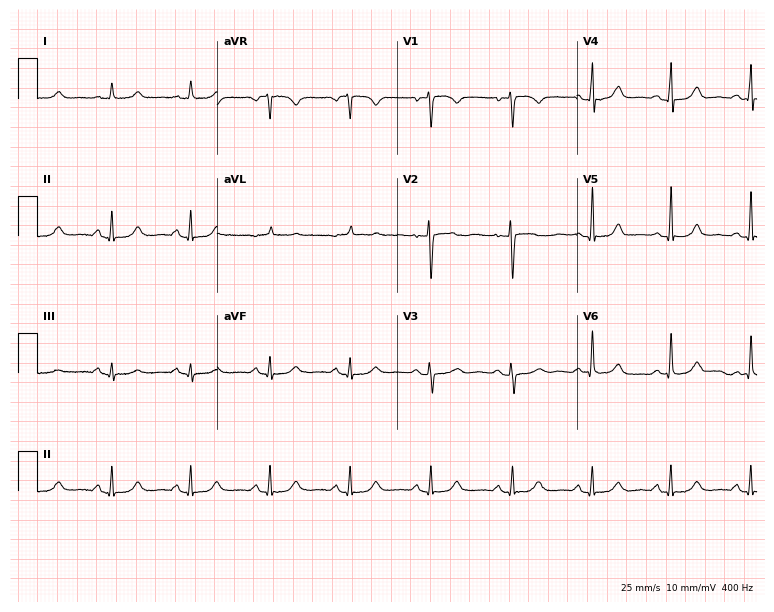
12-lead ECG from a 41-year-old female patient. Recorded interpretation: within normal limits.